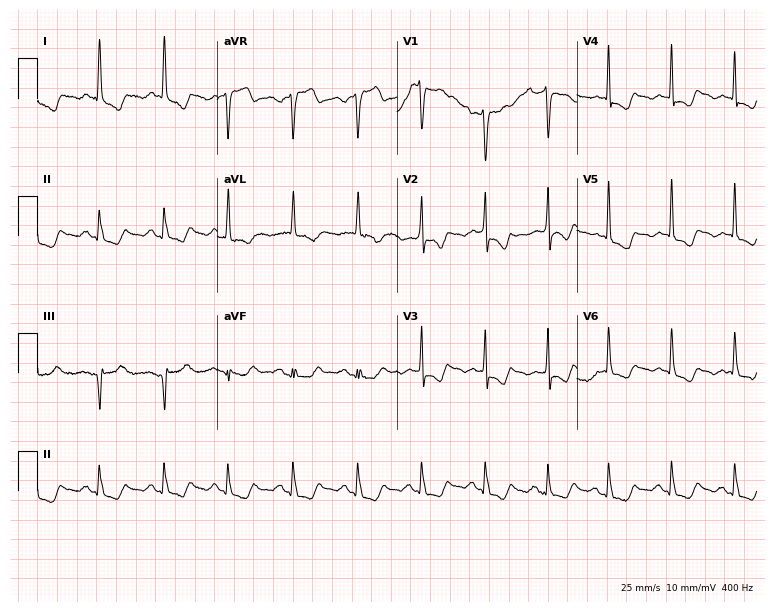
Standard 12-lead ECG recorded from a woman, 76 years old. None of these six findings is recorded: first-degree AV block, right bundle branch block, left bundle branch block, sinus bradycardia, atrial fibrillation, sinus tachycardia.